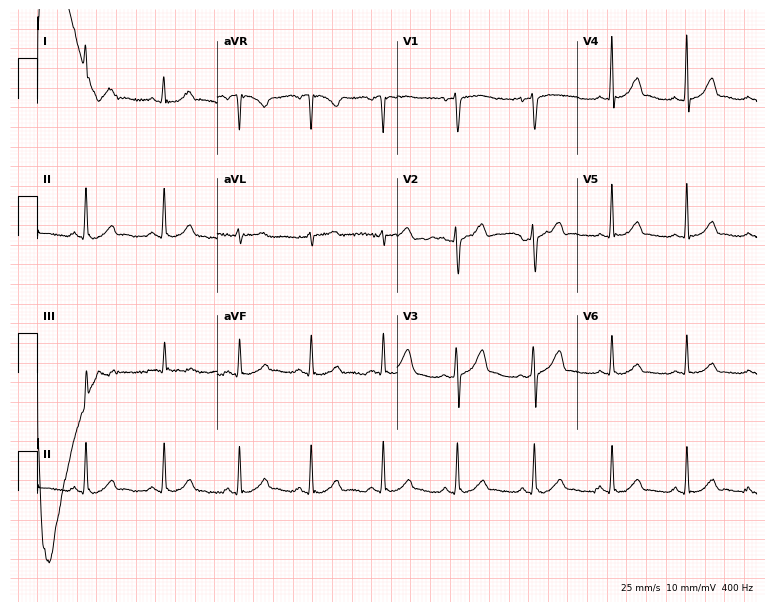
12-lead ECG from a female patient, 42 years old. Recorded interpretation: within normal limits.